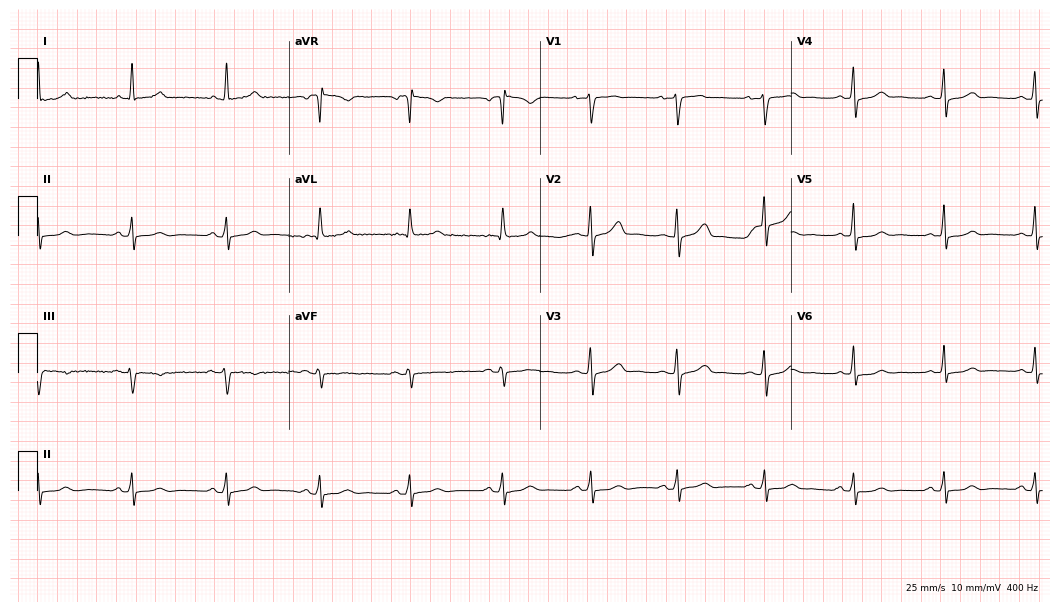
Electrocardiogram, a woman, 51 years old. Overall reading on record: normal ECG.